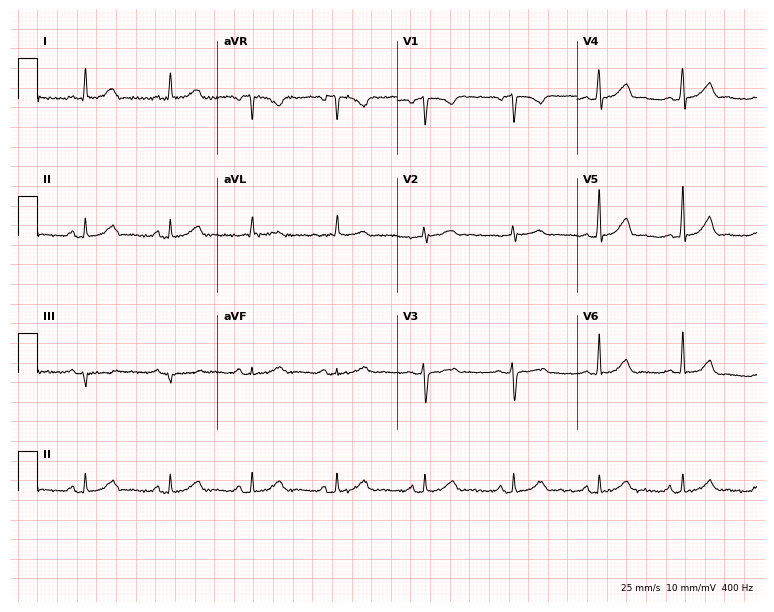
12-lead ECG (7.3-second recording at 400 Hz) from a 48-year-old female patient. Labelled as a normal ECG.